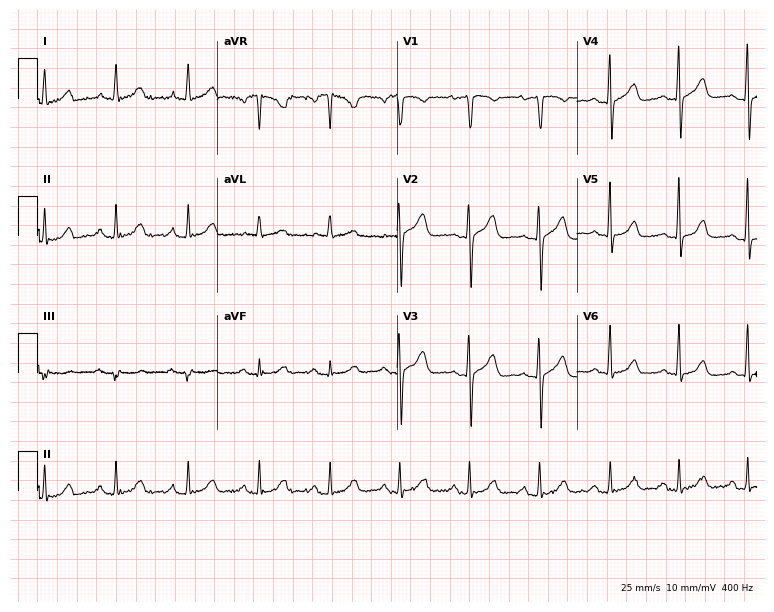
ECG — a female patient, 59 years old. Labelled as a normal ECG.